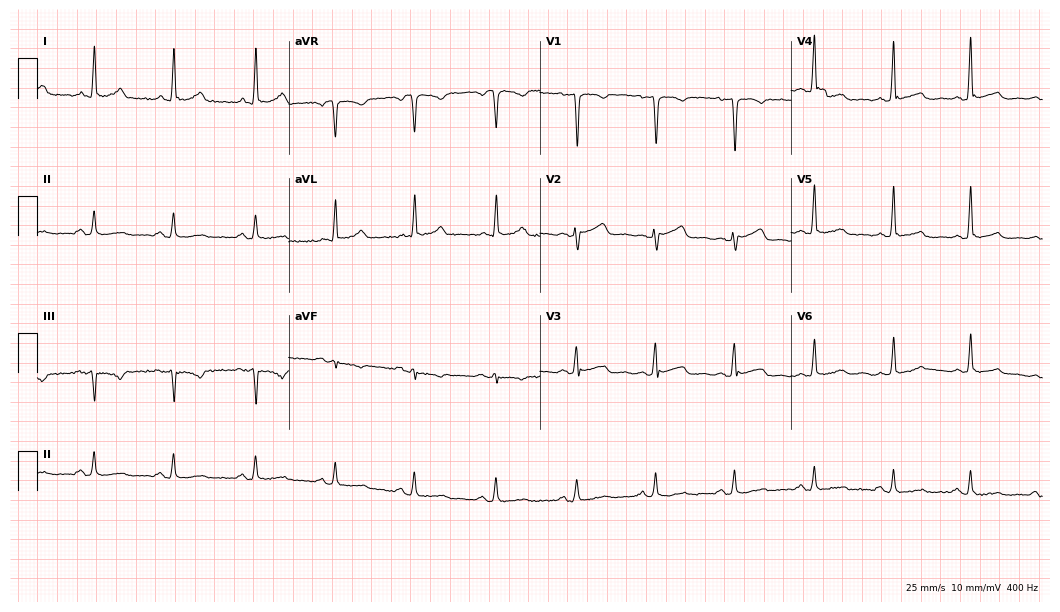
12-lead ECG from a 63-year-old woman. Screened for six findings — first-degree AV block, right bundle branch block, left bundle branch block, sinus bradycardia, atrial fibrillation, sinus tachycardia — none is recorded.